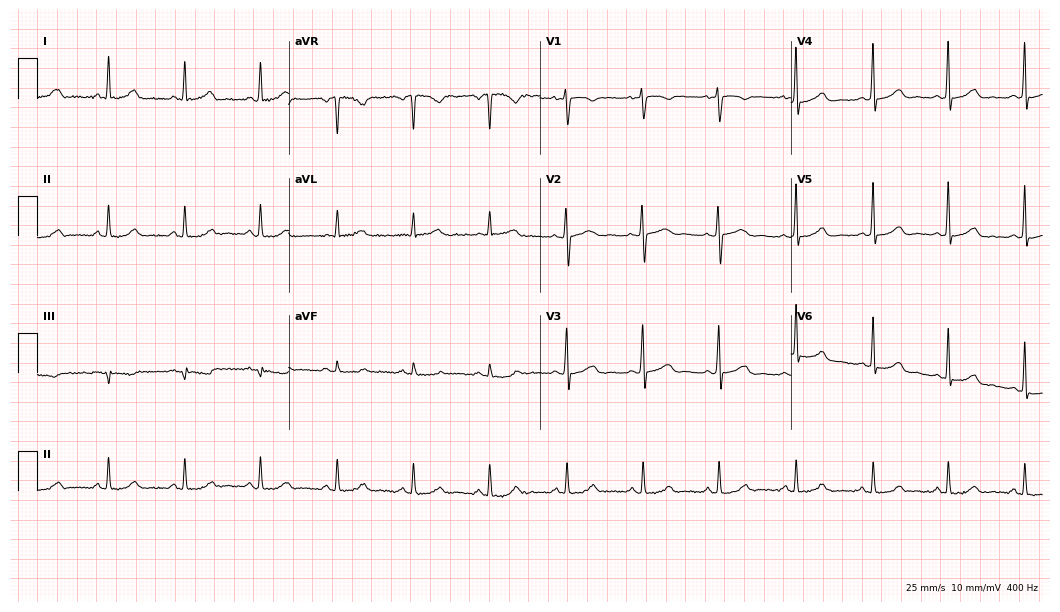
12-lead ECG from a female, 46 years old. Labelled as a normal ECG.